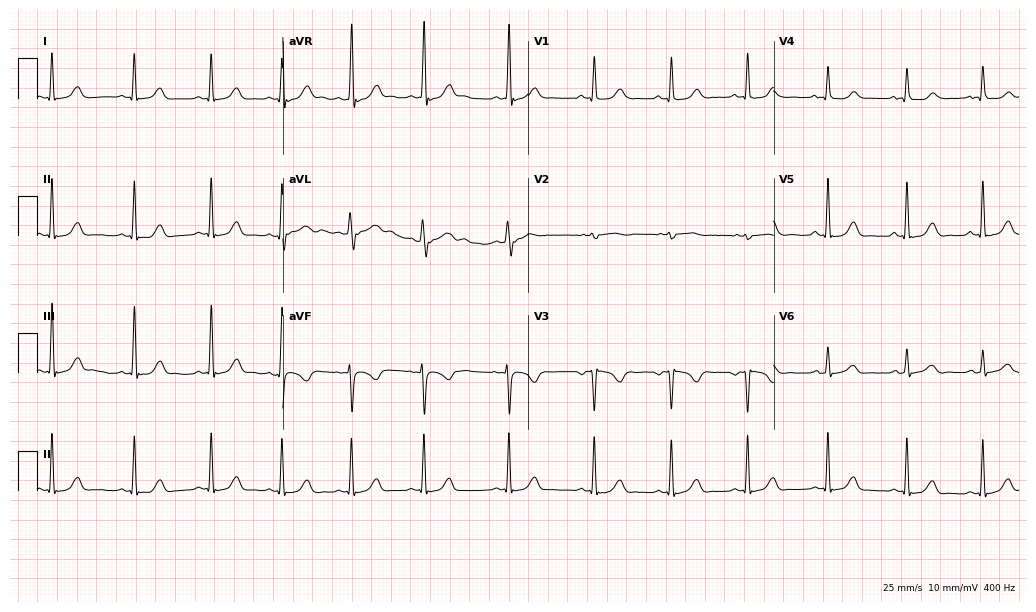
Standard 12-lead ECG recorded from a female patient, 22 years old. None of these six findings is recorded: first-degree AV block, right bundle branch block (RBBB), left bundle branch block (LBBB), sinus bradycardia, atrial fibrillation (AF), sinus tachycardia. Findings outside these six are not listed.